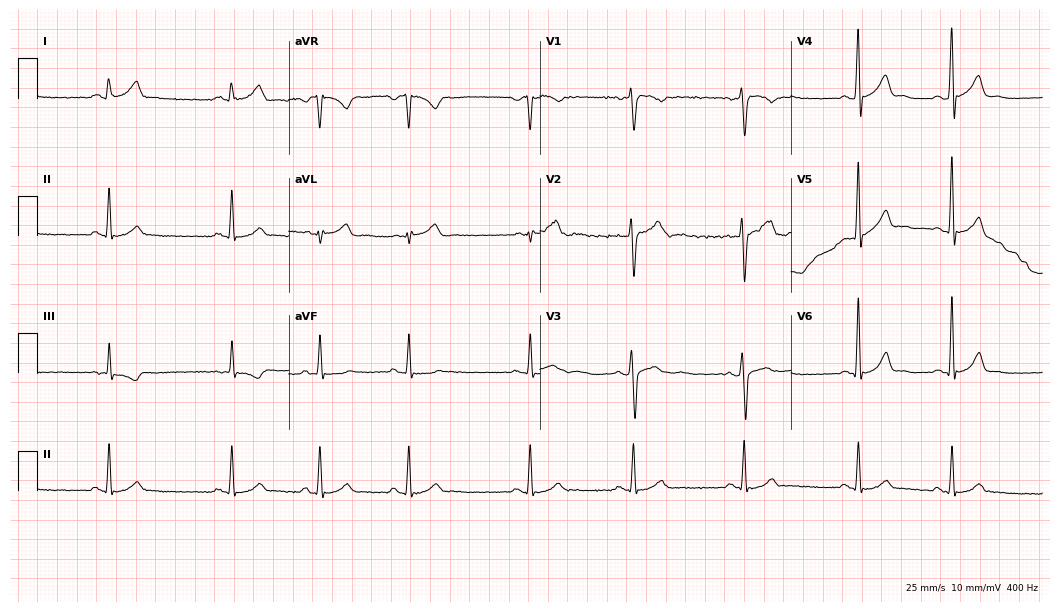
12-lead ECG (10.2-second recording at 400 Hz) from a 31-year-old male. Labelled as a normal ECG.